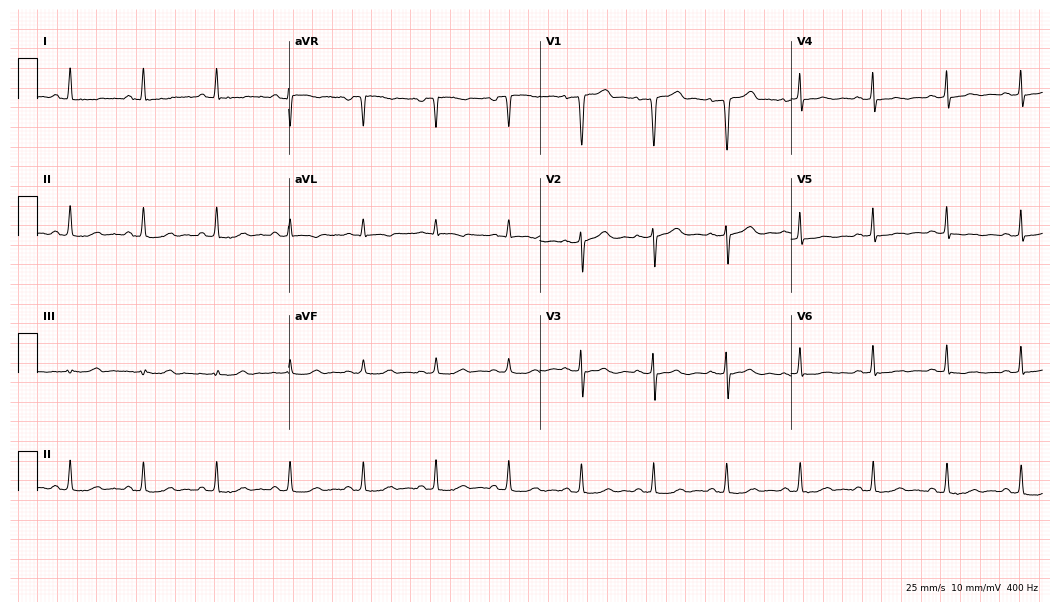
Resting 12-lead electrocardiogram (10.2-second recording at 400 Hz). Patient: a 48-year-old woman. None of these six findings is recorded: first-degree AV block, right bundle branch block (RBBB), left bundle branch block (LBBB), sinus bradycardia, atrial fibrillation (AF), sinus tachycardia. Other findings, if any, are not listed.